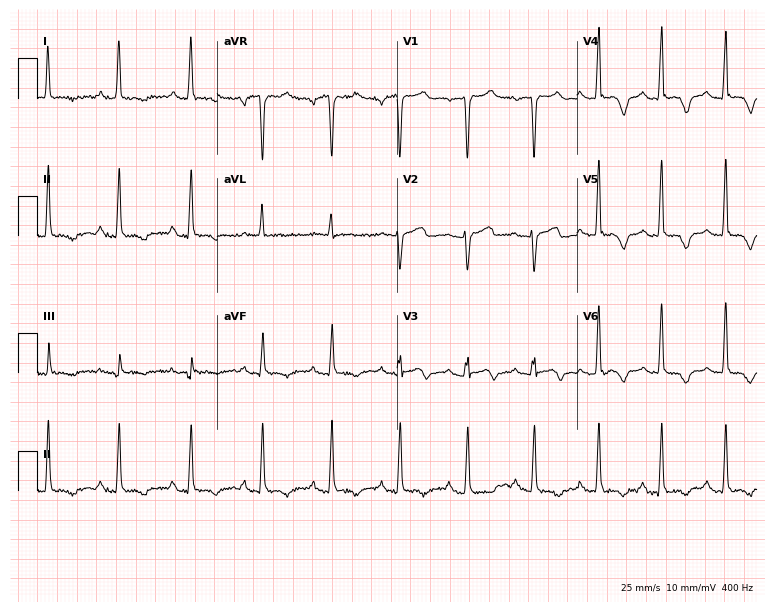
Resting 12-lead electrocardiogram. Patient: a female, 42 years old. None of these six findings is recorded: first-degree AV block, right bundle branch block, left bundle branch block, sinus bradycardia, atrial fibrillation, sinus tachycardia.